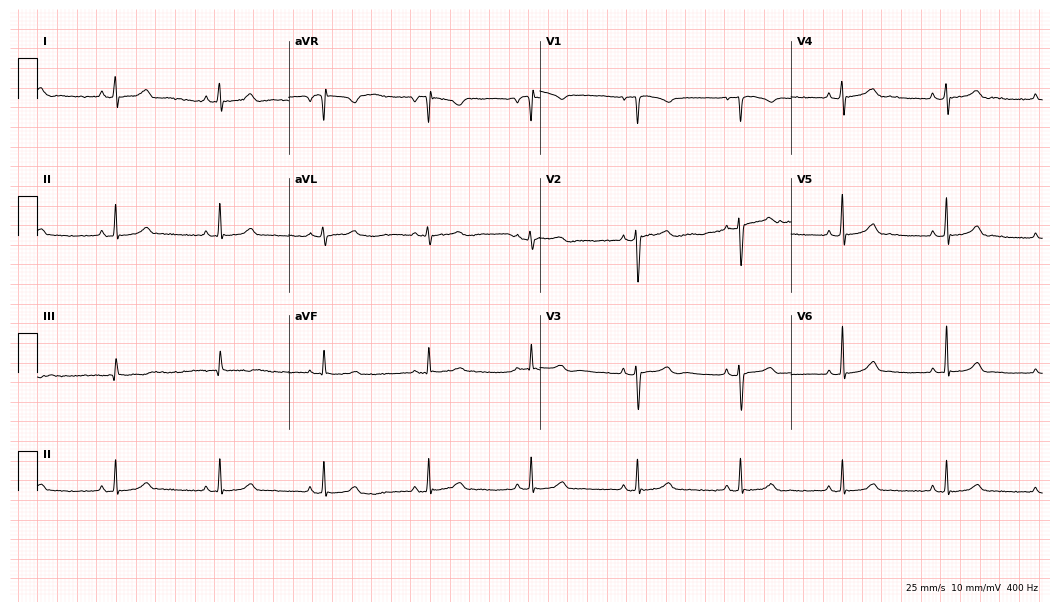
Standard 12-lead ECG recorded from a female patient, 36 years old. Read as a normal ECG.